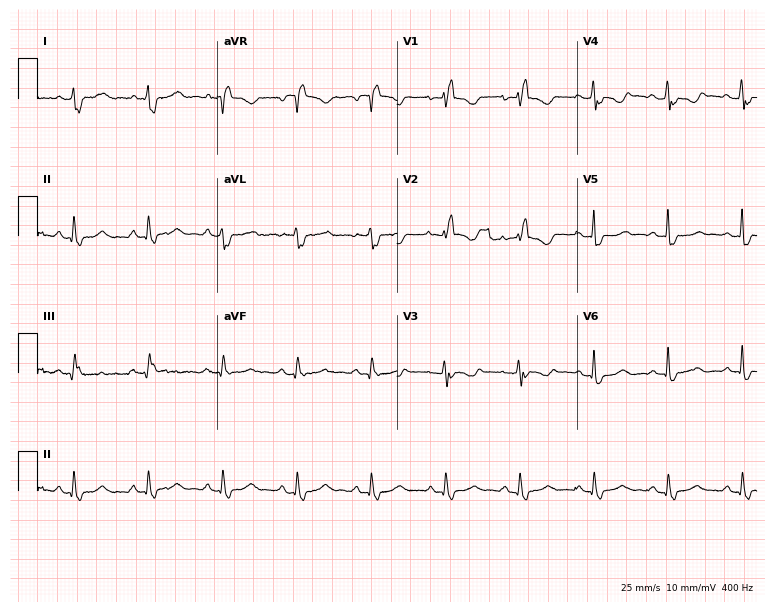
Standard 12-lead ECG recorded from a female, 40 years old. None of these six findings is recorded: first-degree AV block, right bundle branch block, left bundle branch block, sinus bradycardia, atrial fibrillation, sinus tachycardia. Findings outside these six are not listed.